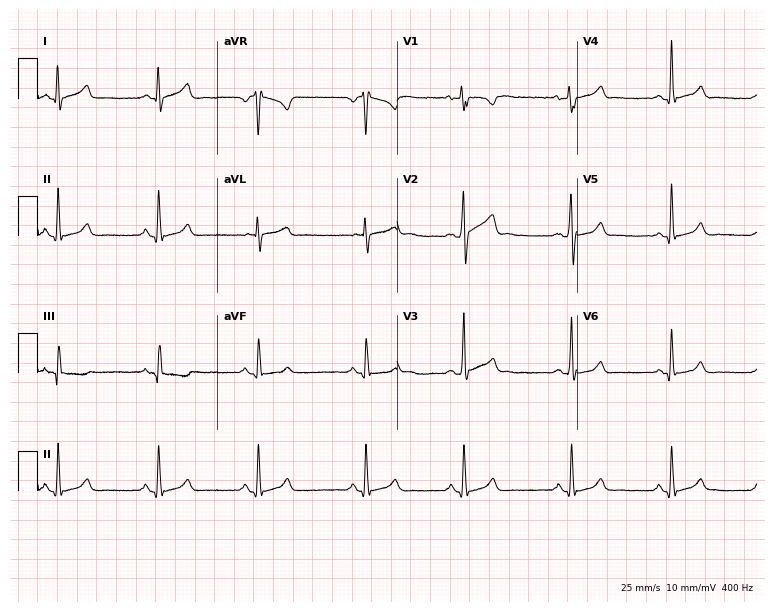
Electrocardiogram (7.3-second recording at 400 Hz), a 29-year-old male. Overall reading on record: normal ECG.